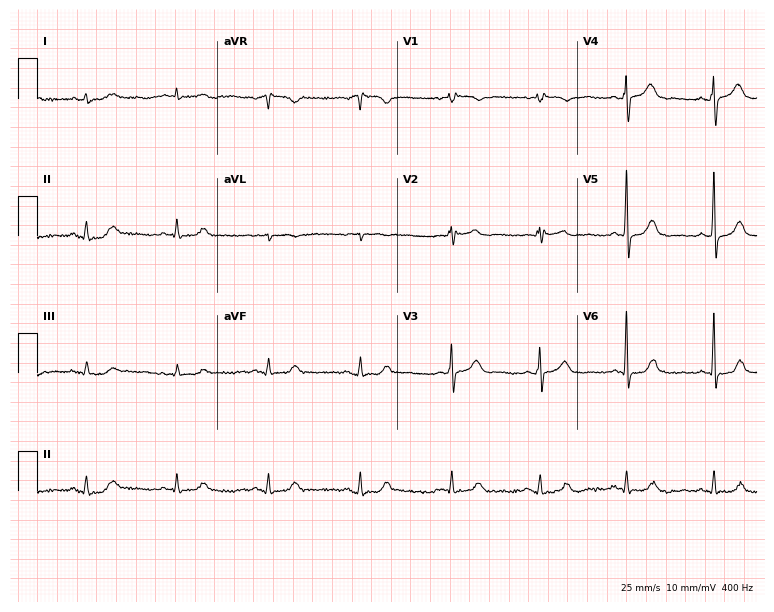
12-lead ECG from a female patient, 58 years old (7.3-second recording at 400 Hz). No first-degree AV block, right bundle branch block (RBBB), left bundle branch block (LBBB), sinus bradycardia, atrial fibrillation (AF) or sinus tachycardia recorded for this tracing. Other findings, if any, are not listed.